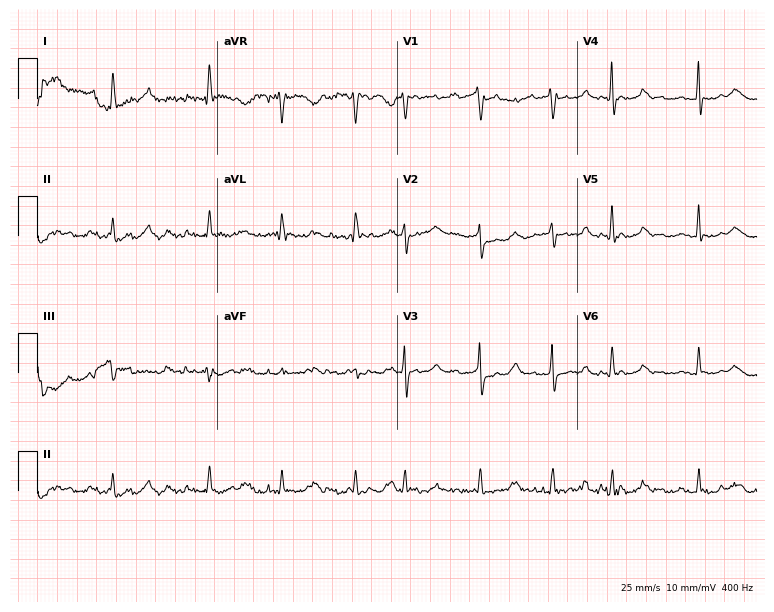
12-lead ECG from a woman, 68 years old. No first-degree AV block, right bundle branch block (RBBB), left bundle branch block (LBBB), sinus bradycardia, atrial fibrillation (AF) or sinus tachycardia recorded for this tracing. Findings outside these six are not listed.